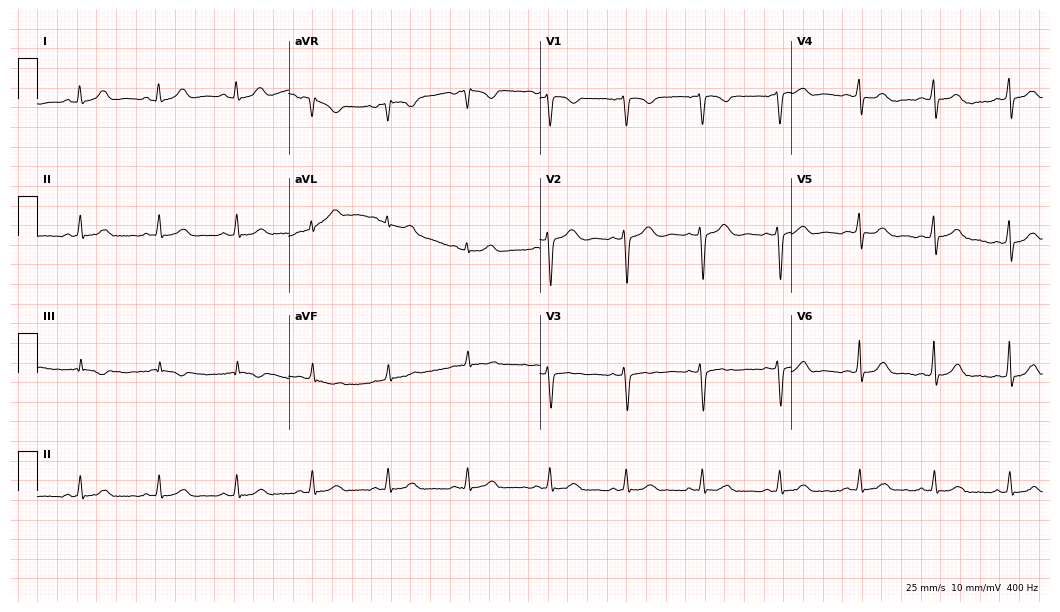
Resting 12-lead electrocardiogram (10.2-second recording at 400 Hz). Patient: a 19-year-old female. Read as a normal ECG.